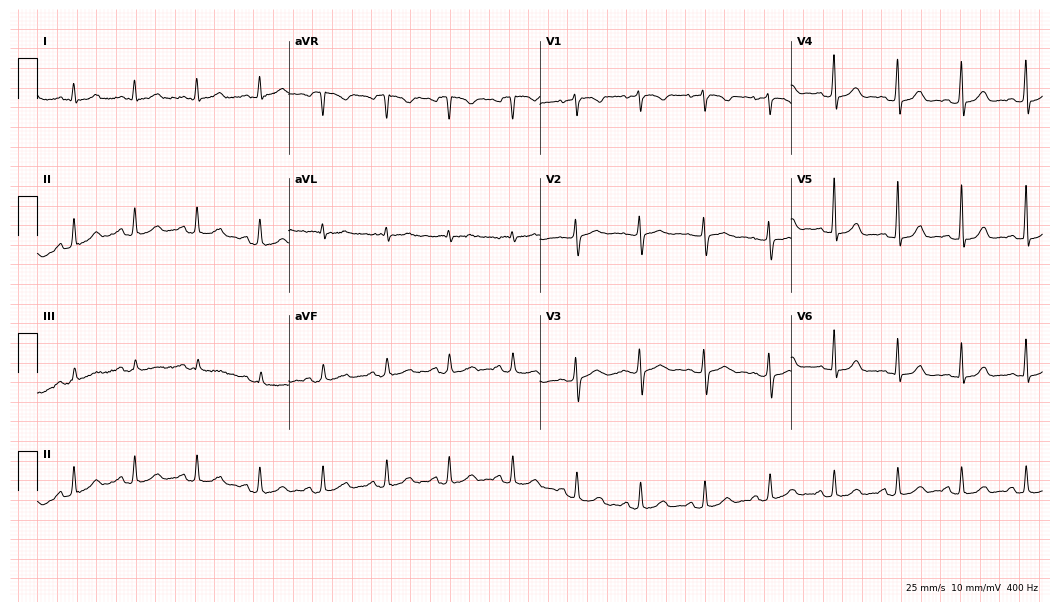
12-lead ECG from a female patient, 37 years old (10.2-second recording at 400 Hz). Recorded interpretation: within normal limits.